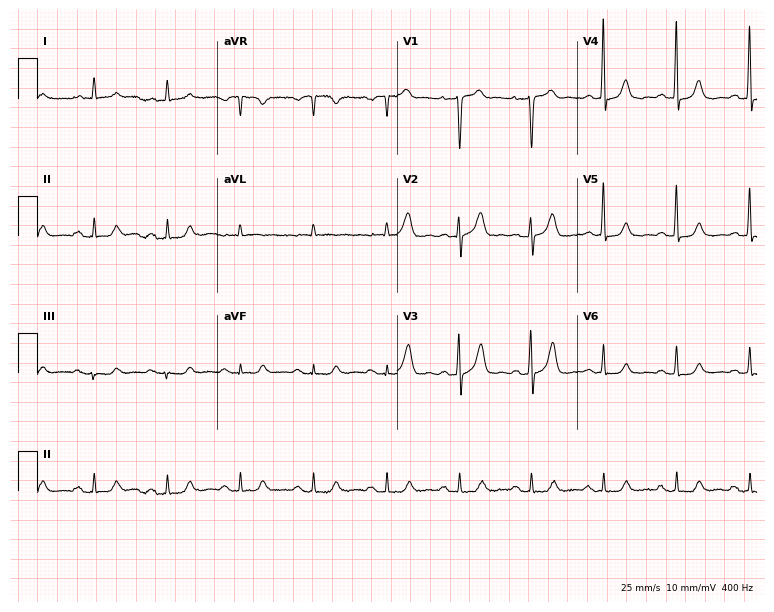
Resting 12-lead electrocardiogram (7.3-second recording at 400 Hz). Patient: an 83-year-old male. Read as a normal ECG.